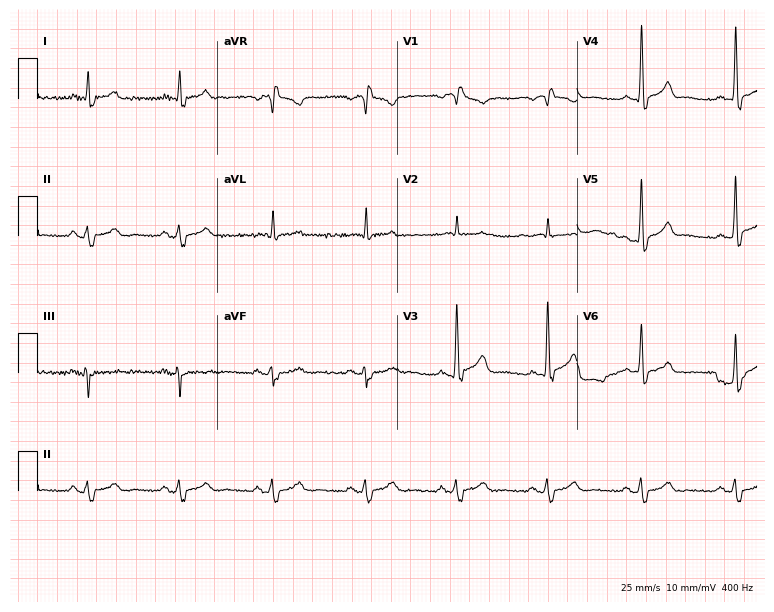
12-lead ECG from a 74-year-old man. No first-degree AV block, right bundle branch block (RBBB), left bundle branch block (LBBB), sinus bradycardia, atrial fibrillation (AF) or sinus tachycardia recorded for this tracing.